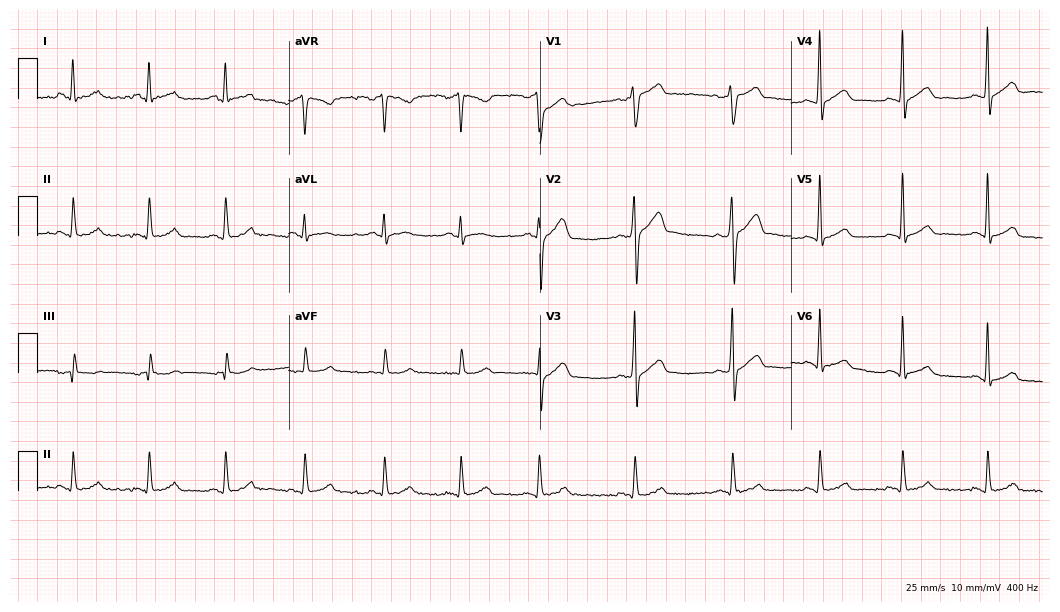
ECG (10.2-second recording at 400 Hz) — a 31-year-old male. Screened for six findings — first-degree AV block, right bundle branch block, left bundle branch block, sinus bradycardia, atrial fibrillation, sinus tachycardia — none is recorded.